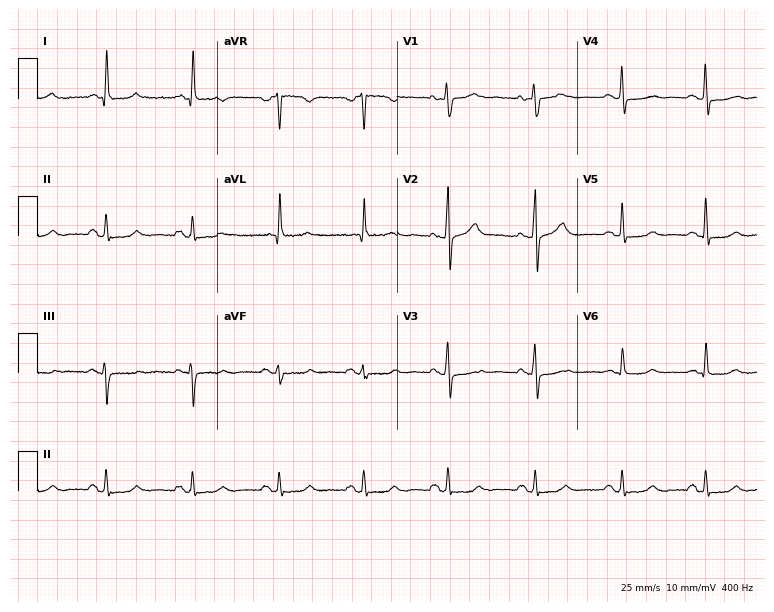
12-lead ECG (7.3-second recording at 400 Hz) from a 58-year-old woman. Labelled as a normal ECG.